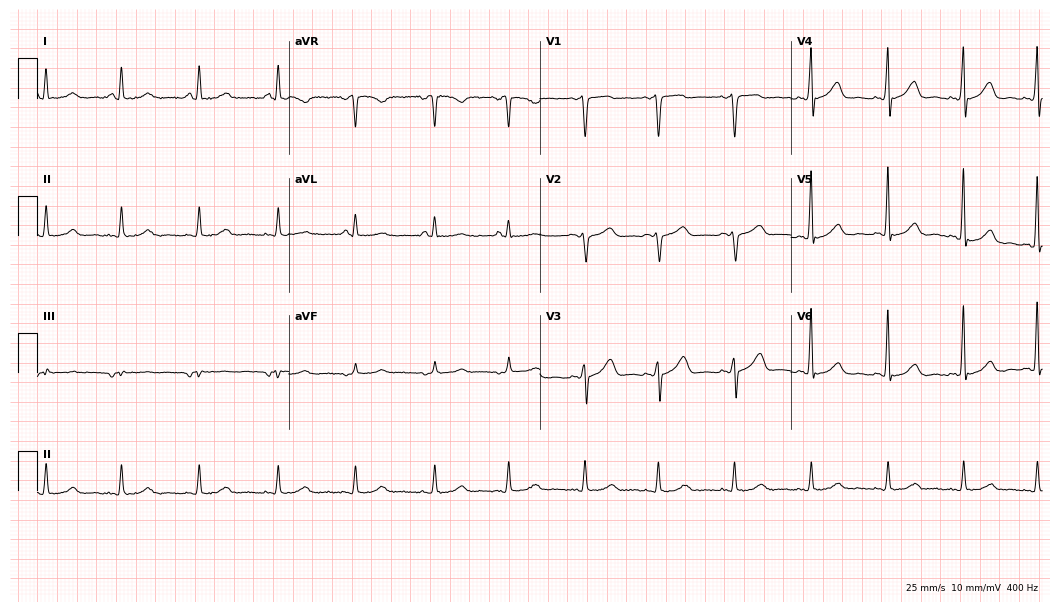
Electrocardiogram (10.2-second recording at 400 Hz), a male patient, 66 years old. Overall reading on record: normal ECG.